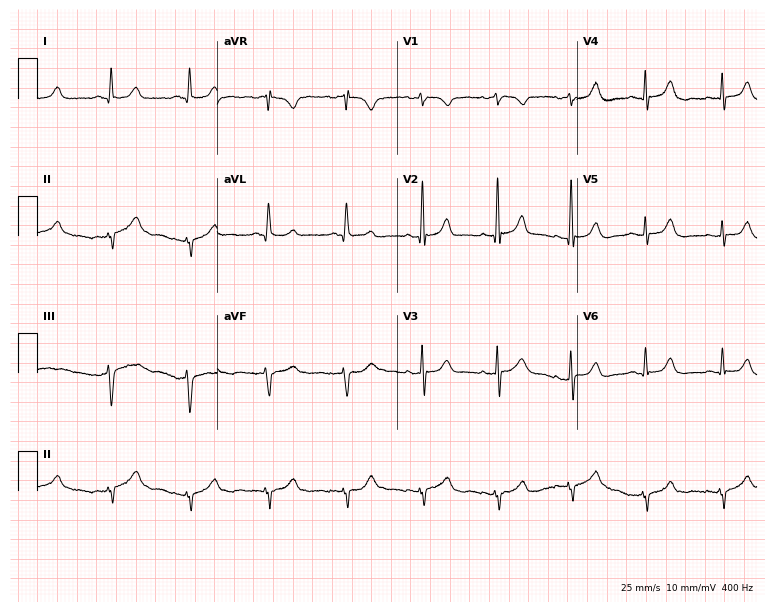
12-lead ECG from an 81-year-old woman (7.3-second recording at 400 Hz). No first-degree AV block, right bundle branch block, left bundle branch block, sinus bradycardia, atrial fibrillation or sinus tachycardia recorded for this tracing. Other findings, if any, are not listed.